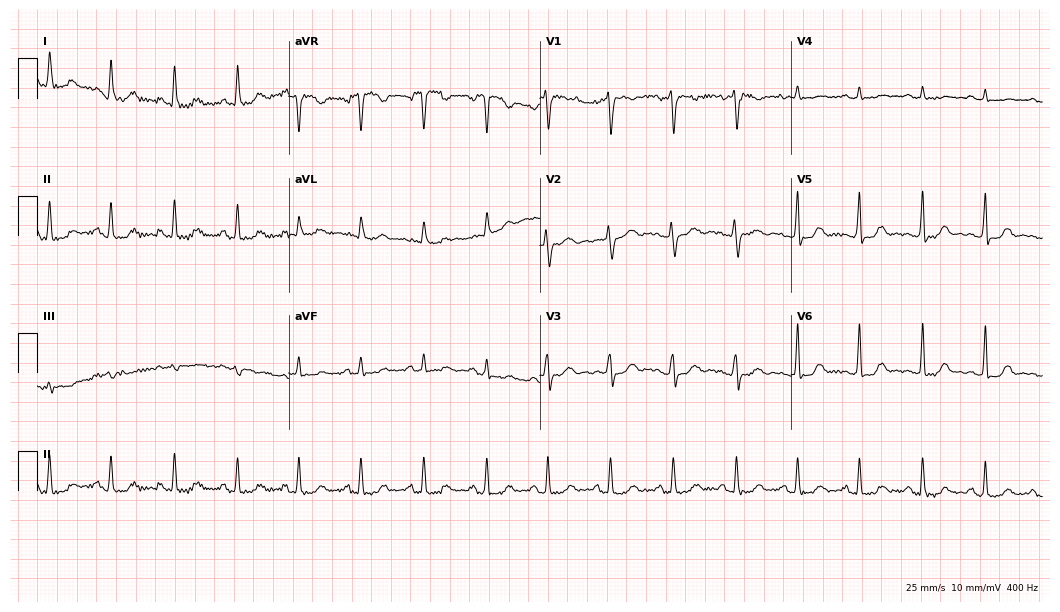
12-lead ECG from a woman, 49 years old (10.2-second recording at 400 Hz). Recorded interpretation: within normal limits.